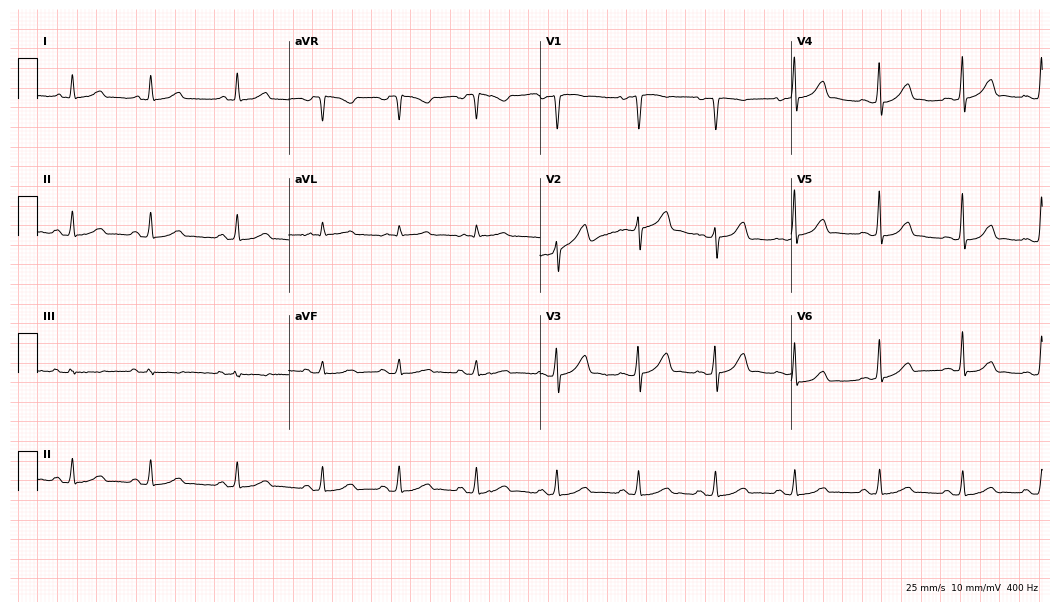
Resting 12-lead electrocardiogram. Patient: a female, 32 years old. Read as a normal ECG.